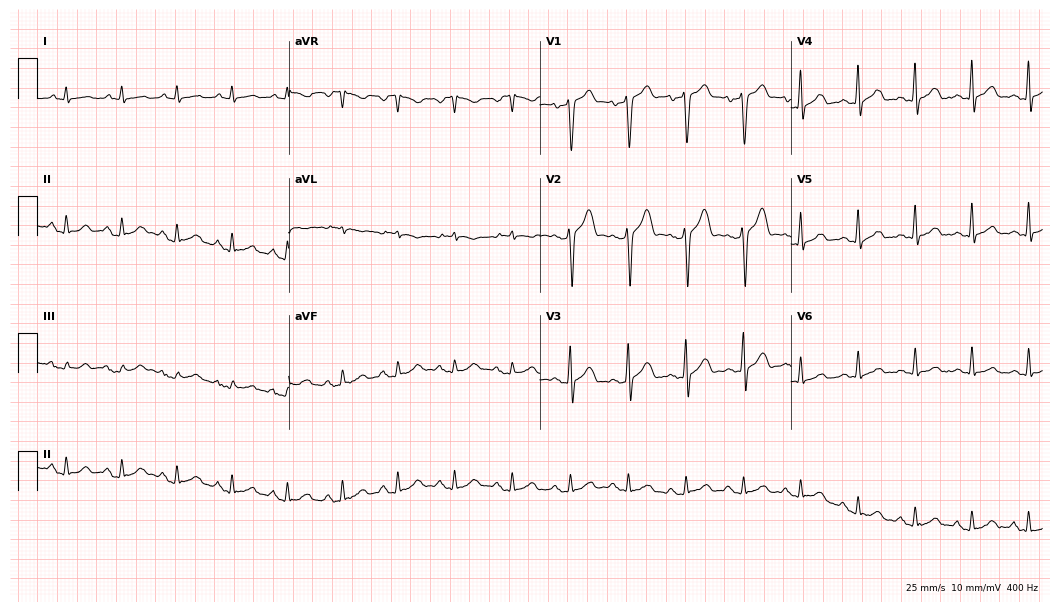
12-lead ECG from a 42-year-old man. Shows sinus tachycardia (a sinus rate of 100 beats per minute or more).